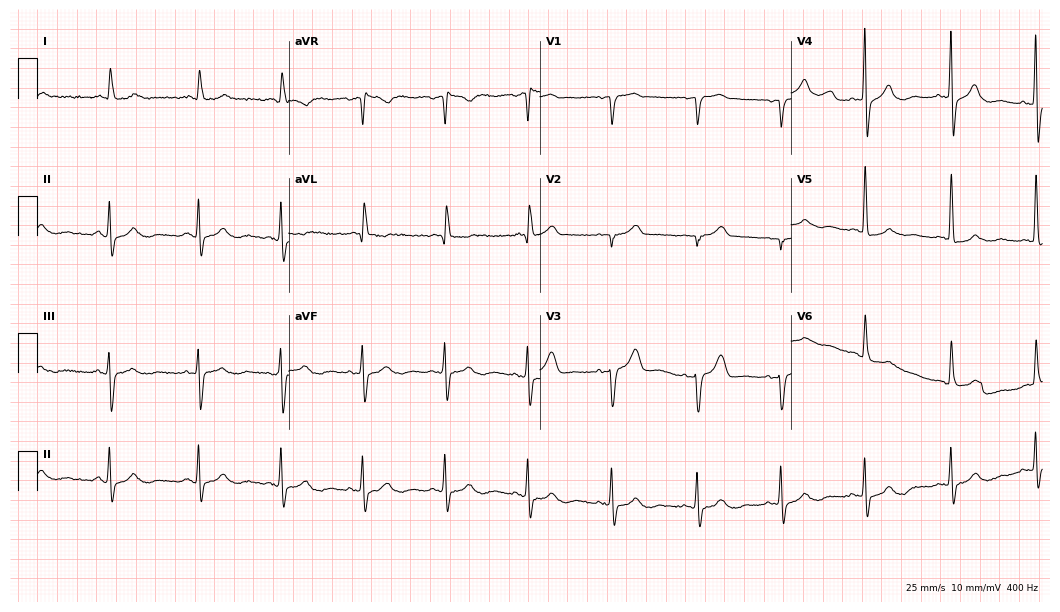
Standard 12-lead ECG recorded from a 68-year-old woman (10.2-second recording at 400 Hz). None of these six findings is recorded: first-degree AV block, right bundle branch block (RBBB), left bundle branch block (LBBB), sinus bradycardia, atrial fibrillation (AF), sinus tachycardia.